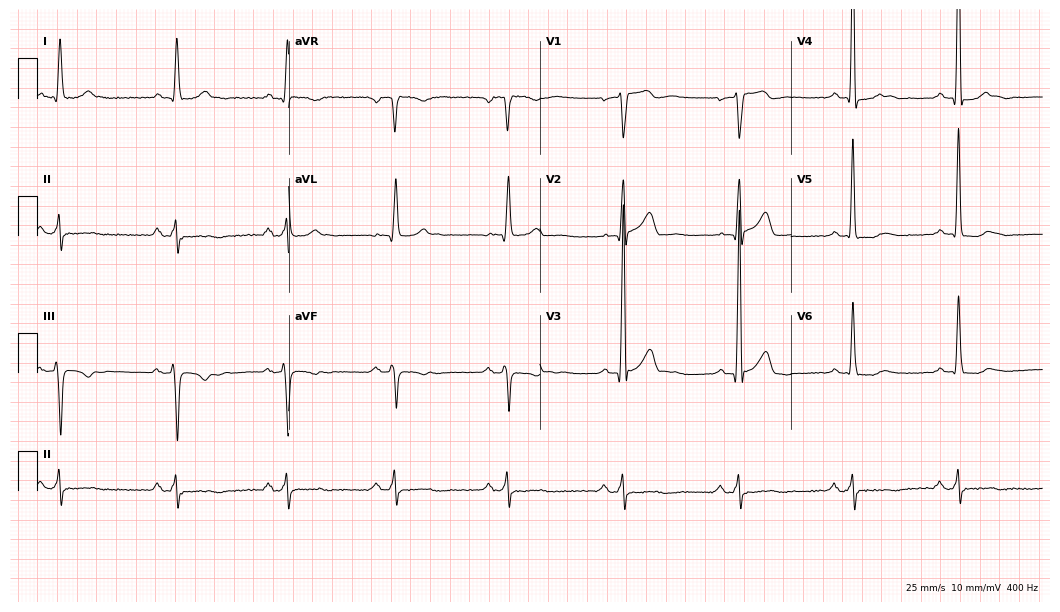
Electrocardiogram (10.2-second recording at 400 Hz), a man, 68 years old. Of the six screened findings (first-degree AV block, right bundle branch block, left bundle branch block, sinus bradycardia, atrial fibrillation, sinus tachycardia), none is recorded. Only these six findings were labelled.